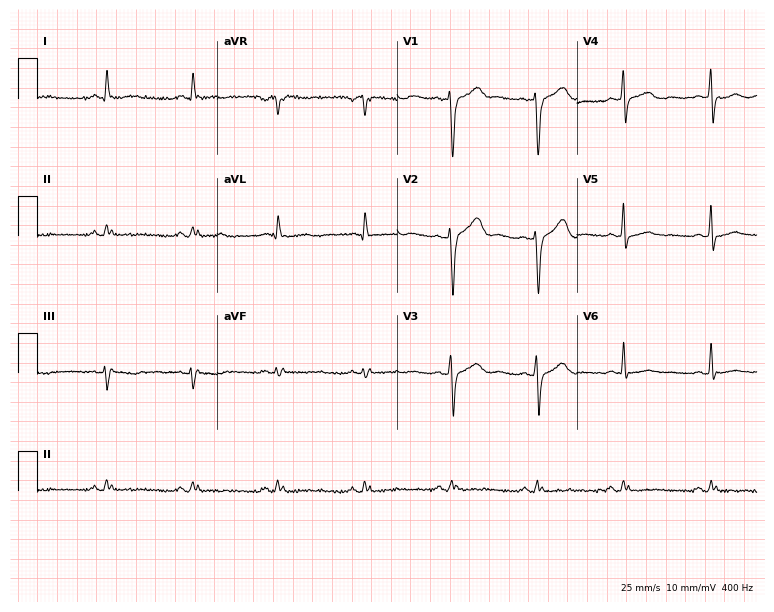
Resting 12-lead electrocardiogram. Patient: a female, 56 years old. Read as a normal ECG.